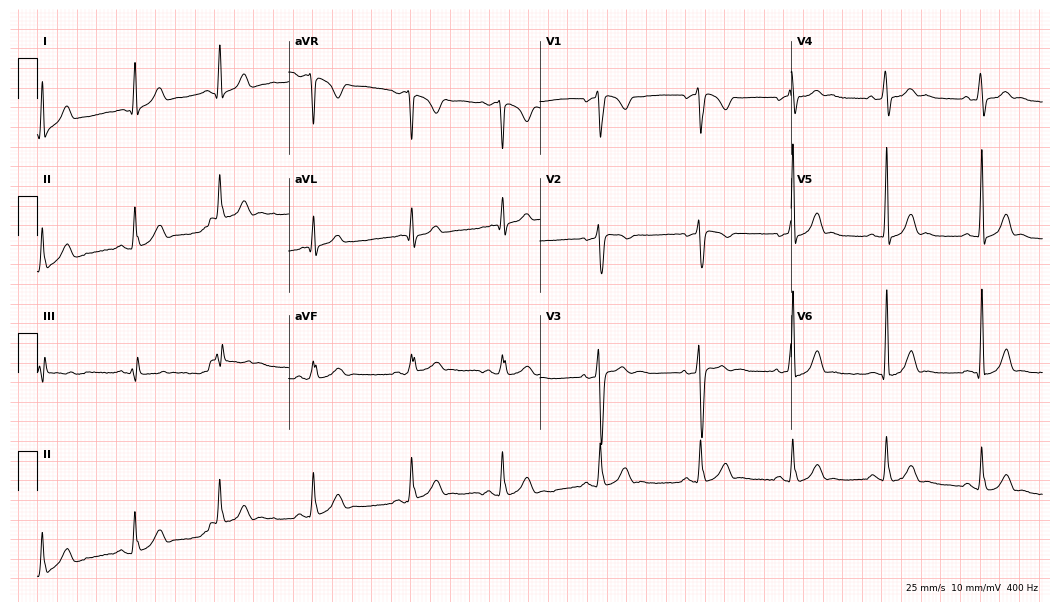
Electrocardiogram (10.2-second recording at 400 Hz), a 24-year-old man. Of the six screened findings (first-degree AV block, right bundle branch block, left bundle branch block, sinus bradycardia, atrial fibrillation, sinus tachycardia), none is recorded.